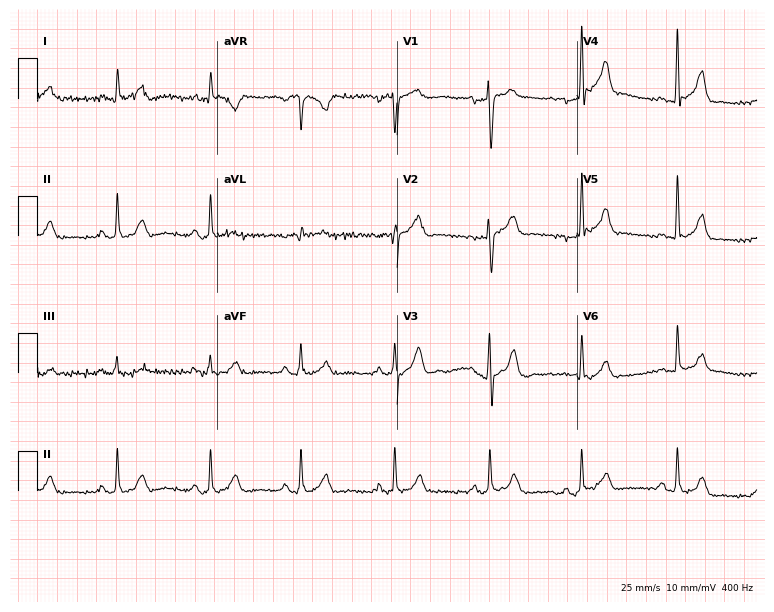
Standard 12-lead ECG recorded from a 59-year-old woman. None of these six findings is recorded: first-degree AV block, right bundle branch block, left bundle branch block, sinus bradycardia, atrial fibrillation, sinus tachycardia.